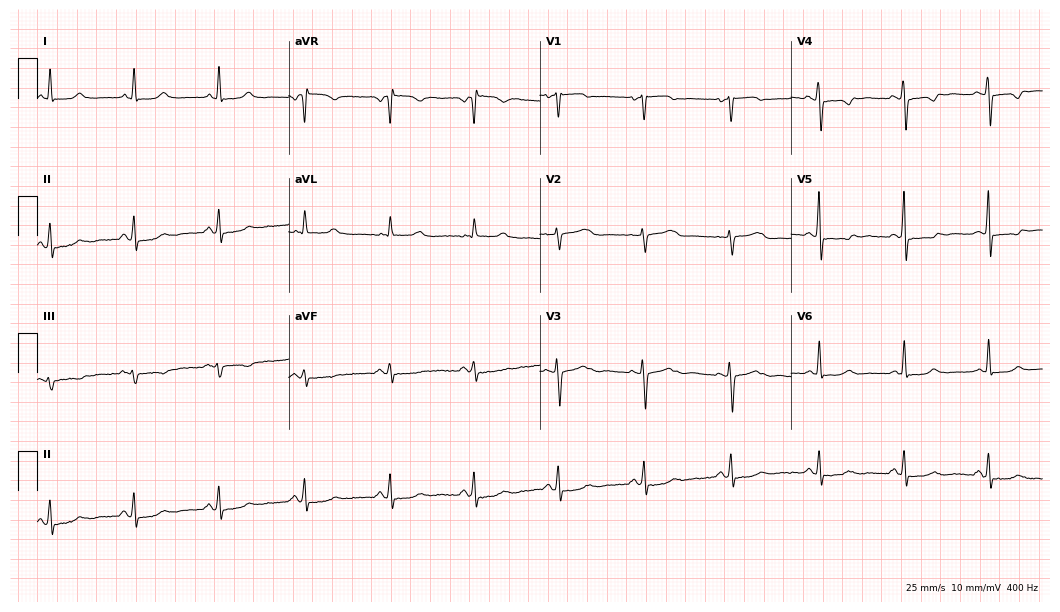
Resting 12-lead electrocardiogram (10.2-second recording at 400 Hz). Patient: a 49-year-old female. None of these six findings is recorded: first-degree AV block, right bundle branch block, left bundle branch block, sinus bradycardia, atrial fibrillation, sinus tachycardia. Findings outside these six are not listed.